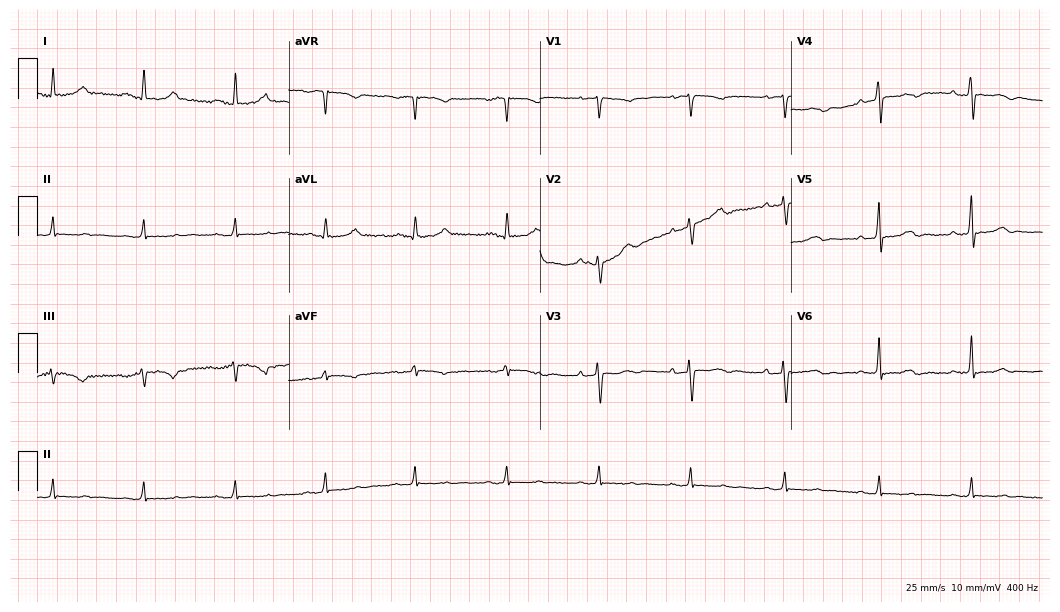
Resting 12-lead electrocardiogram (10.2-second recording at 400 Hz). Patient: a 50-year-old female. None of these six findings is recorded: first-degree AV block, right bundle branch block, left bundle branch block, sinus bradycardia, atrial fibrillation, sinus tachycardia.